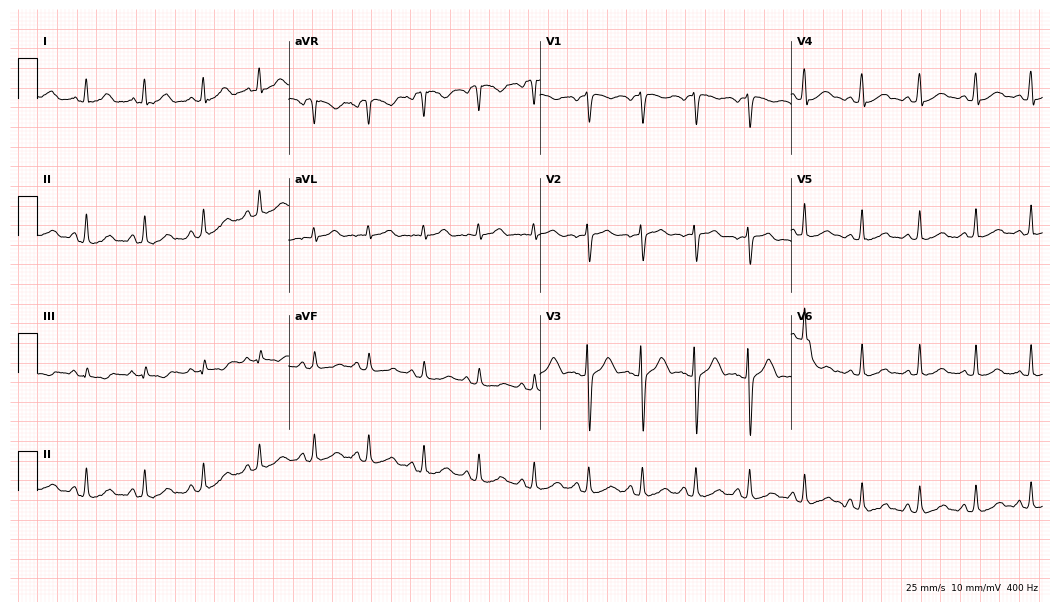
Electrocardiogram, a 29-year-old woman. Of the six screened findings (first-degree AV block, right bundle branch block, left bundle branch block, sinus bradycardia, atrial fibrillation, sinus tachycardia), none is recorded.